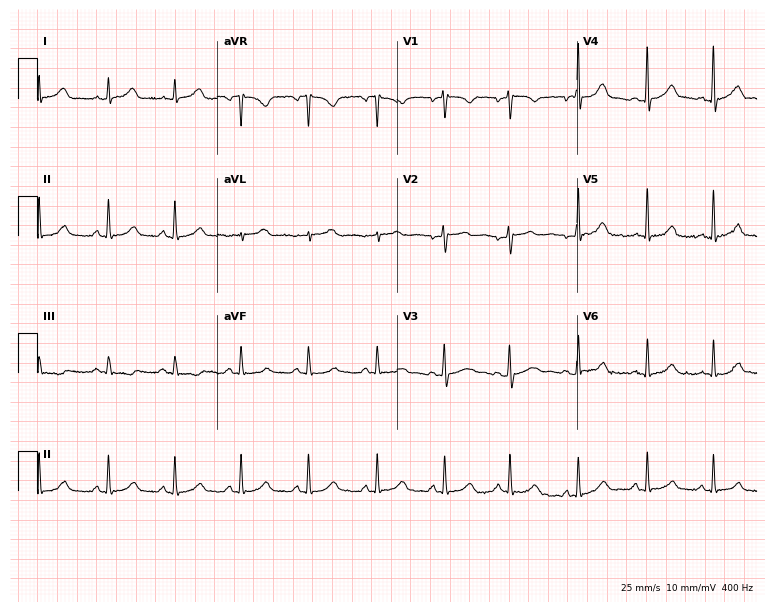
Electrocardiogram (7.3-second recording at 400 Hz), a 25-year-old female patient. Of the six screened findings (first-degree AV block, right bundle branch block (RBBB), left bundle branch block (LBBB), sinus bradycardia, atrial fibrillation (AF), sinus tachycardia), none is recorded.